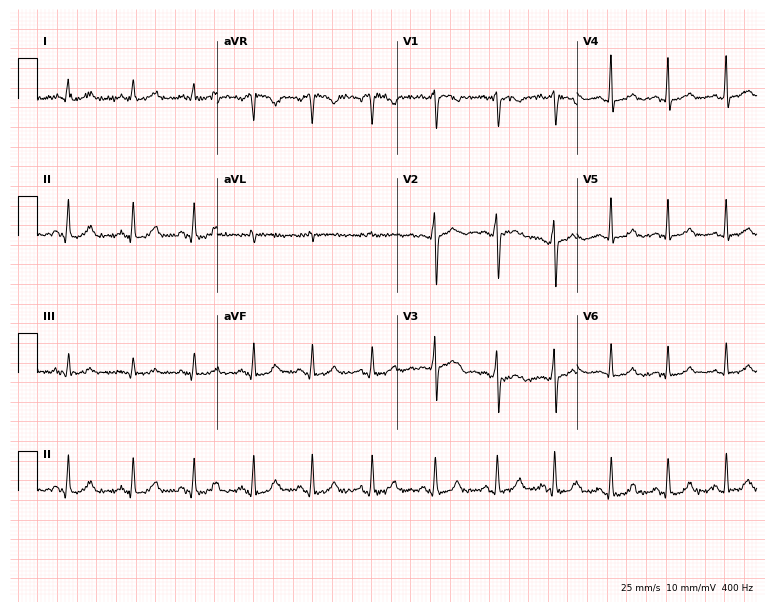
ECG (7.3-second recording at 400 Hz) — a 27-year-old woman. Labelled as a normal ECG.